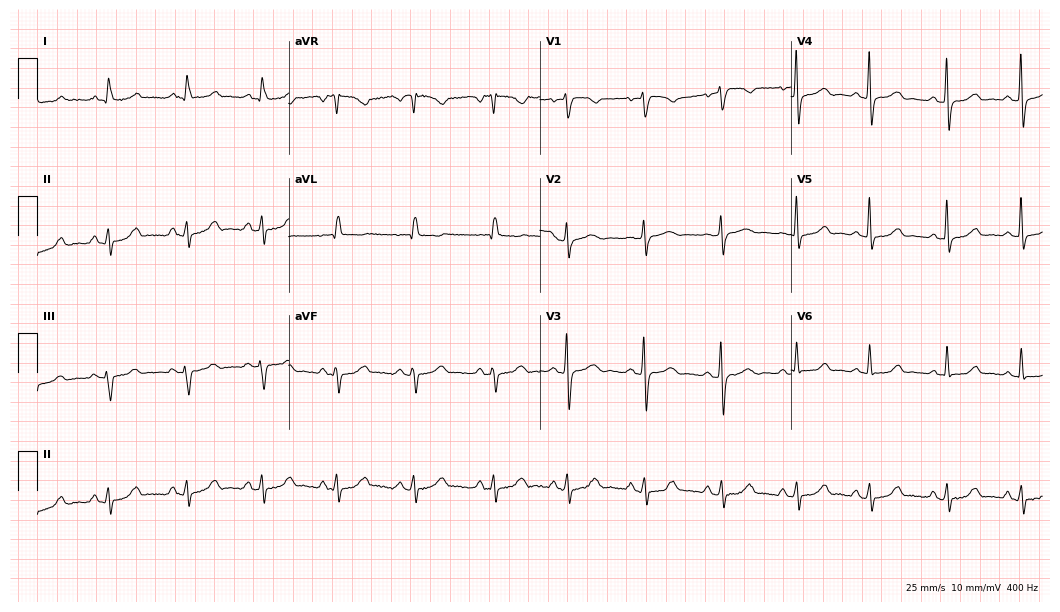
Electrocardiogram, a woman, 54 years old. Of the six screened findings (first-degree AV block, right bundle branch block, left bundle branch block, sinus bradycardia, atrial fibrillation, sinus tachycardia), none is recorded. Findings outside these six are not listed.